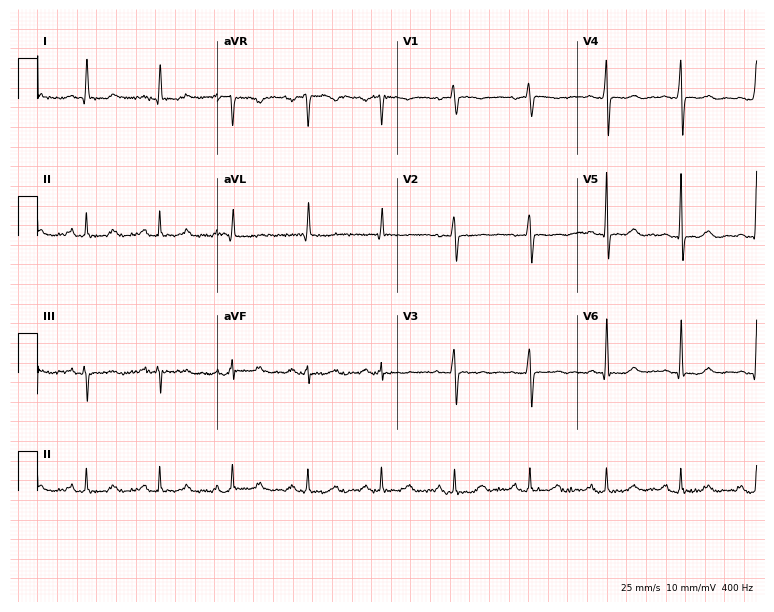
Standard 12-lead ECG recorded from a 65-year-old female patient (7.3-second recording at 400 Hz). Read as a normal ECG.